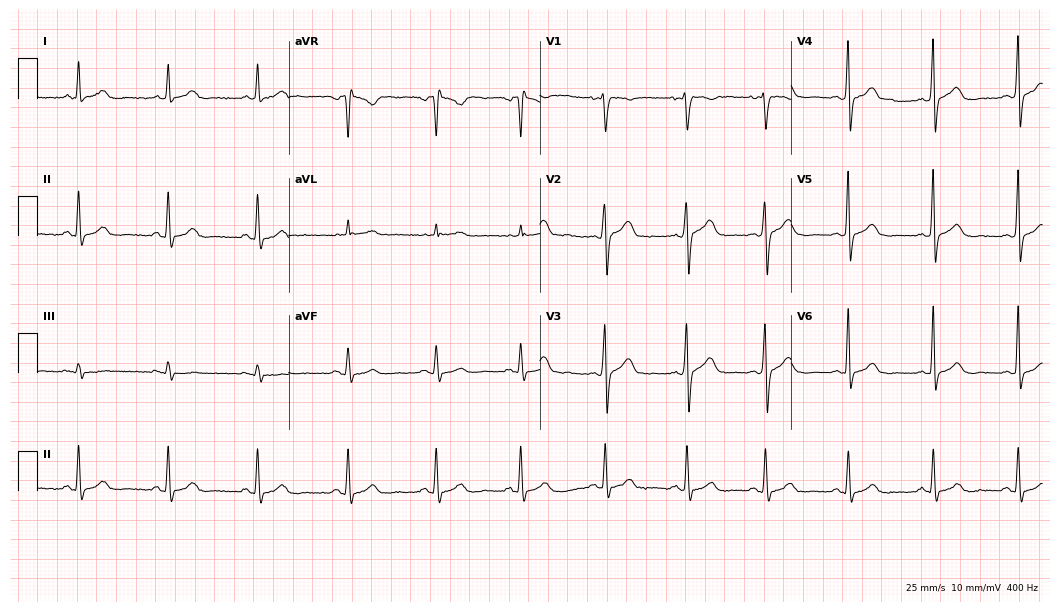
12-lead ECG from a 31-year-old female (10.2-second recording at 400 Hz). Recorded interpretation: within normal limits.